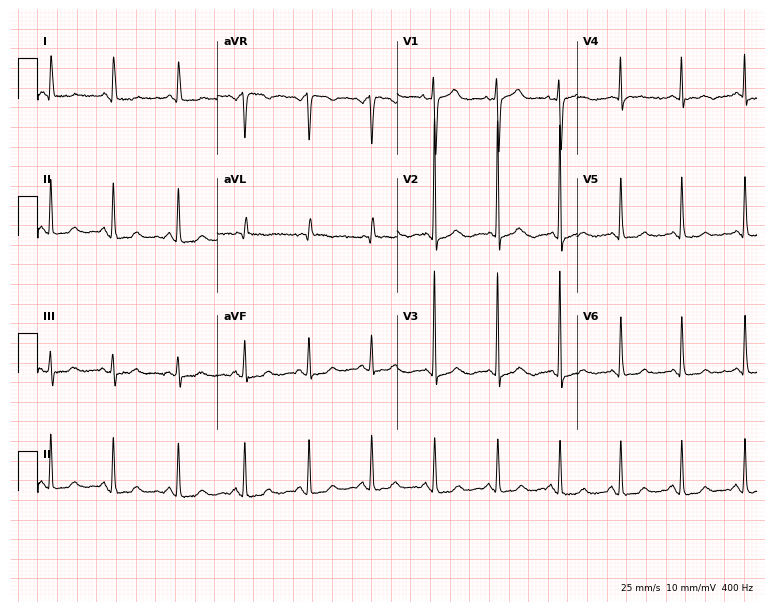
ECG (7.3-second recording at 400 Hz) — a 56-year-old woman. Labelled as a normal ECG.